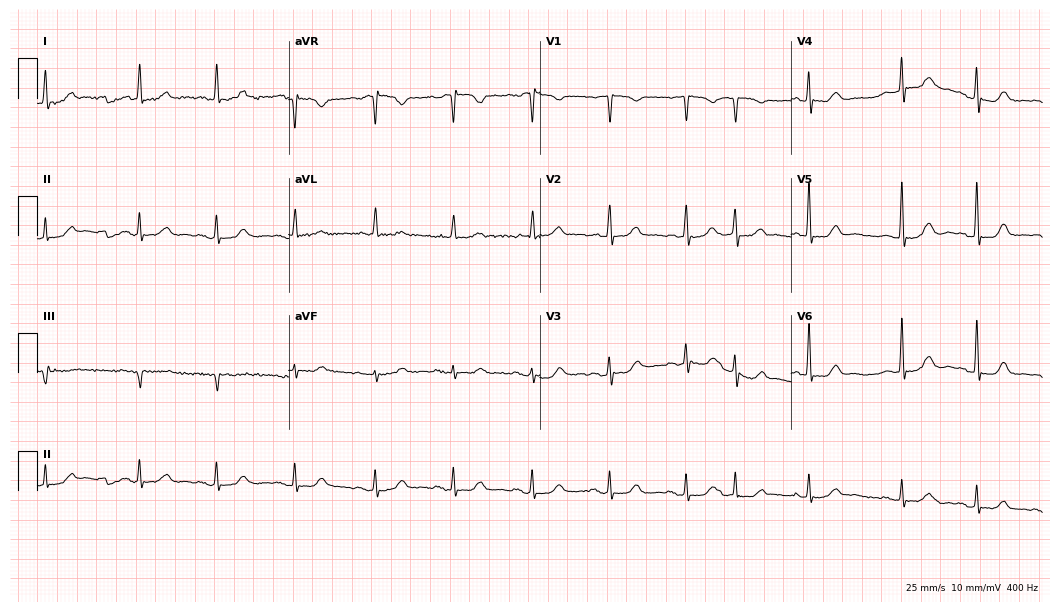
12-lead ECG from a woman, 79 years old (10.2-second recording at 400 Hz). No first-degree AV block, right bundle branch block, left bundle branch block, sinus bradycardia, atrial fibrillation or sinus tachycardia recorded for this tracing.